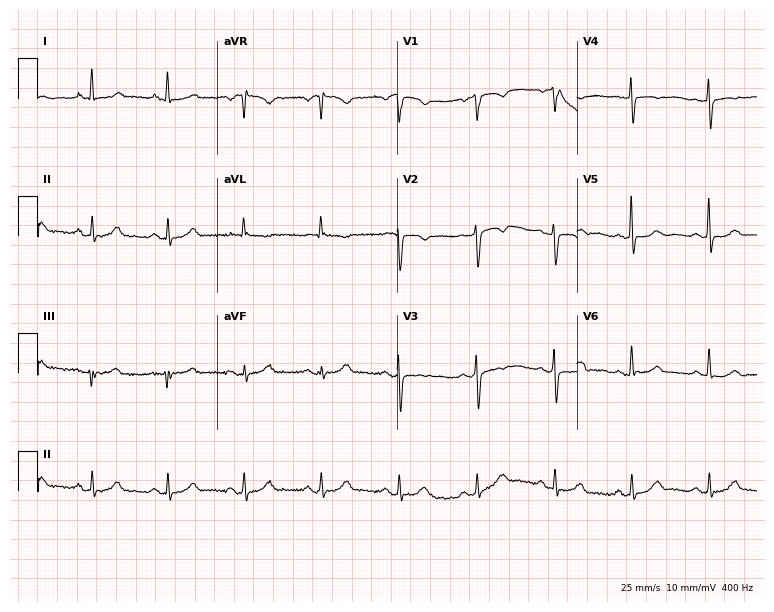
Resting 12-lead electrocardiogram (7.3-second recording at 400 Hz). Patient: a woman, 63 years old. None of these six findings is recorded: first-degree AV block, right bundle branch block (RBBB), left bundle branch block (LBBB), sinus bradycardia, atrial fibrillation (AF), sinus tachycardia. Other findings, if any, are not listed.